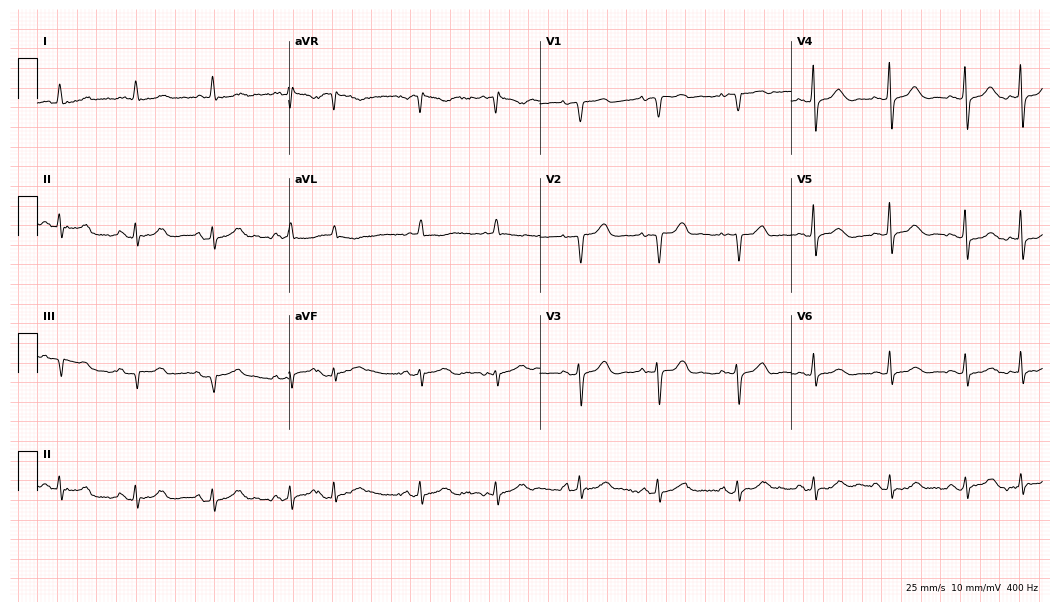
Electrocardiogram (10.2-second recording at 400 Hz), a female patient, 77 years old. Of the six screened findings (first-degree AV block, right bundle branch block, left bundle branch block, sinus bradycardia, atrial fibrillation, sinus tachycardia), none is recorded.